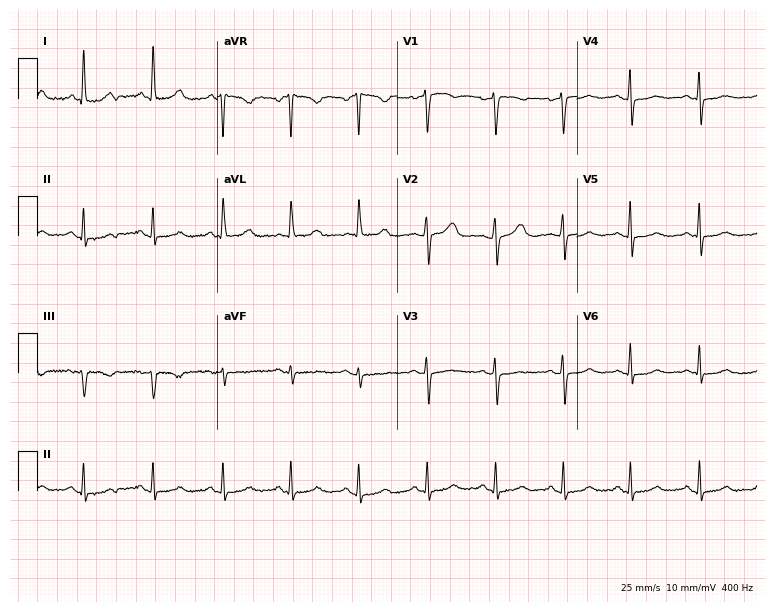
12-lead ECG (7.3-second recording at 400 Hz) from a woman, 45 years old. Screened for six findings — first-degree AV block, right bundle branch block, left bundle branch block, sinus bradycardia, atrial fibrillation, sinus tachycardia — none is recorded. Findings outside these six are not listed.